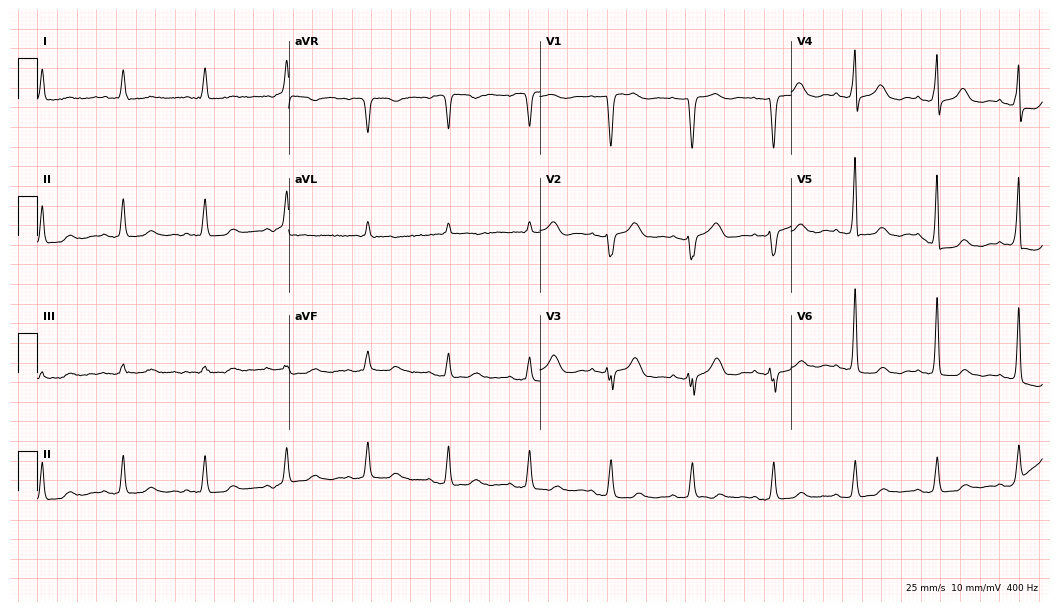
12-lead ECG from a 79-year-old female. Screened for six findings — first-degree AV block, right bundle branch block (RBBB), left bundle branch block (LBBB), sinus bradycardia, atrial fibrillation (AF), sinus tachycardia — none is recorded.